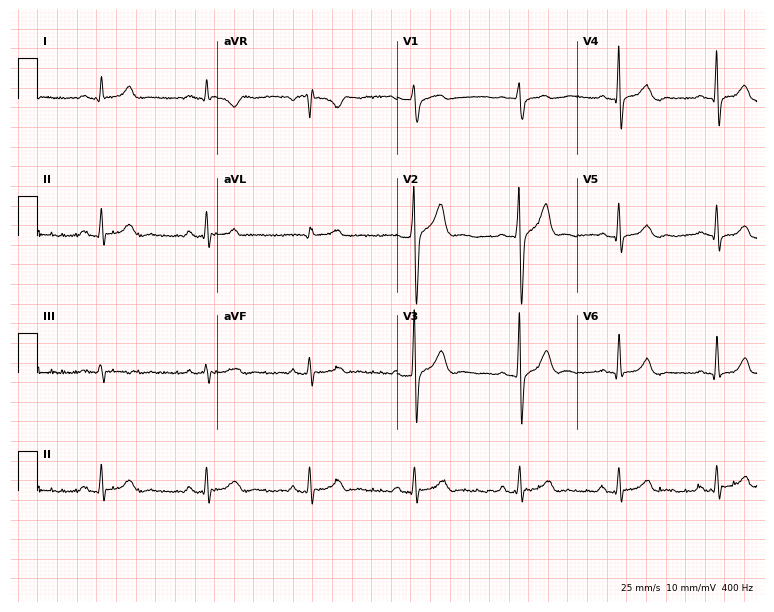
12-lead ECG (7.3-second recording at 400 Hz) from a 50-year-old man. Labelled as a normal ECG.